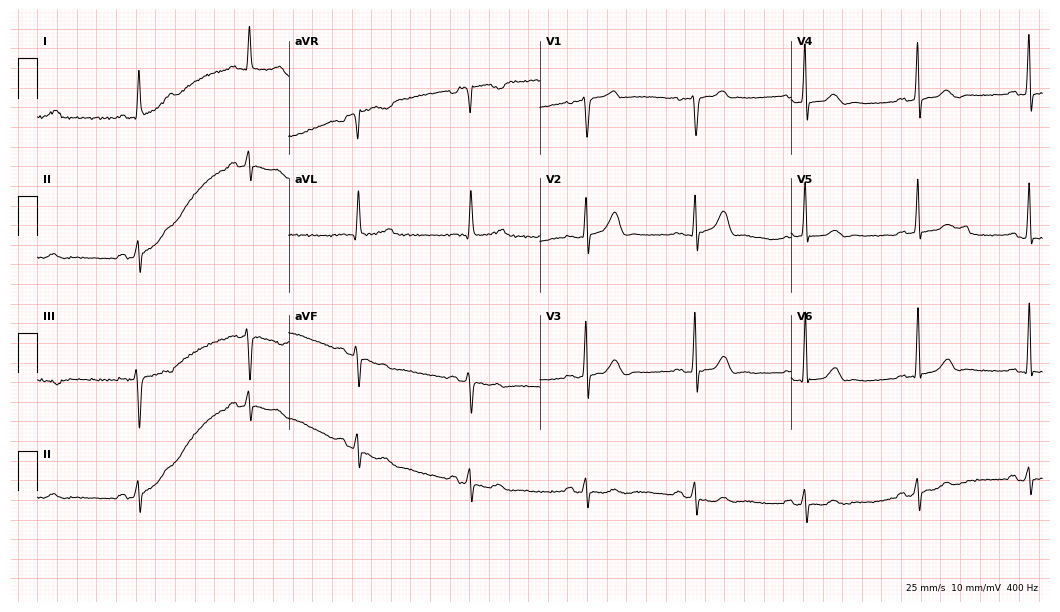
Resting 12-lead electrocardiogram (10.2-second recording at 400 Hz). Patient: a male, 73 years old. None of these six findings is recorded: first-degree AV block, right bundle branch block, left bundle branch block, sinus bradycardia, atrial fibrillation, sinus tachycardia.